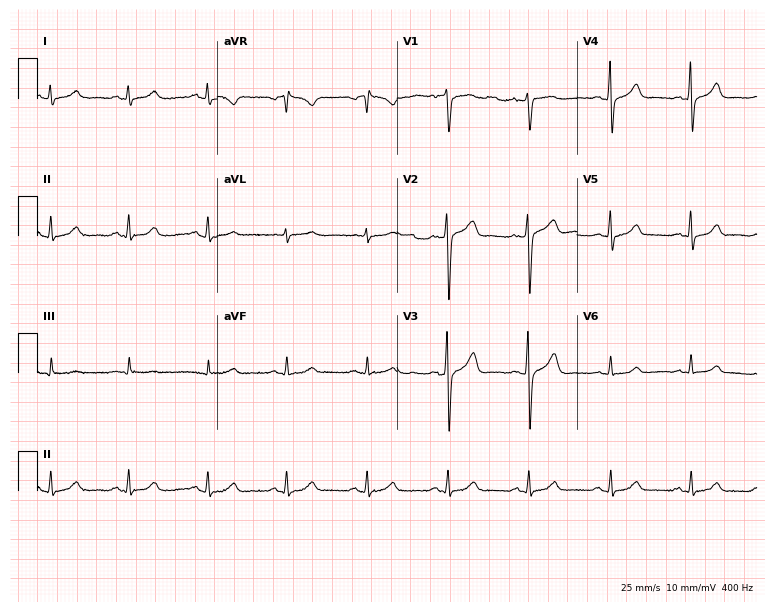
Standard 12-lead ECG recorded from a 44-year-old male. None of these six findings is recorded: first-degree AV block, right bundle branch block, left bundle branch block, sinus bradycardia, atrial fibrillation, sinus tachycardia.